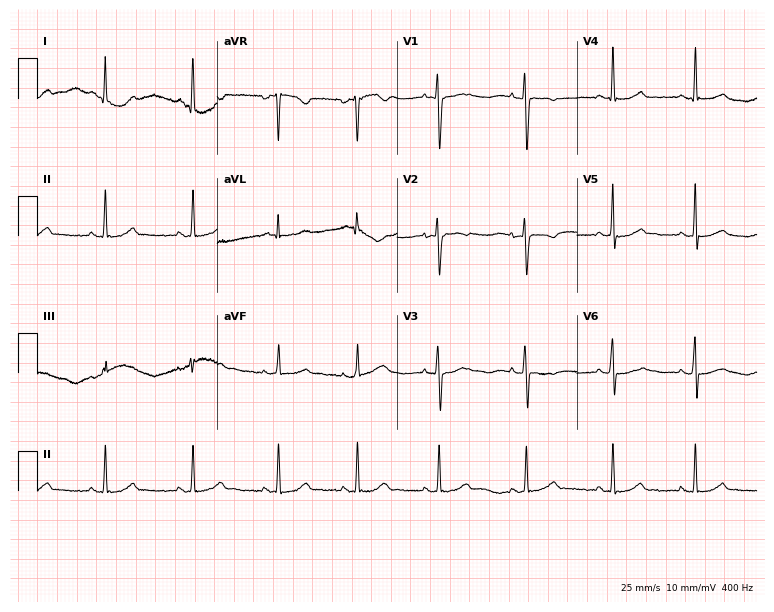
12-lead ECG (7.3-second recording at 400 Hz) from a female, 36 years old. Screened for six findings — first-degree AV block, right bundle branch block, left bundle branch block, sinus bradycardia, atrial fibrillation, sinus tachycardia — none is recorded. Only these six findings were labelled.